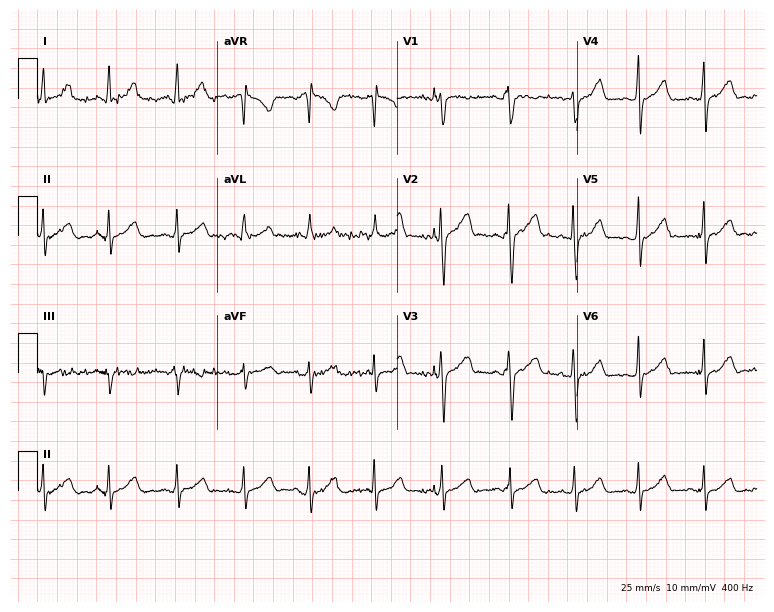
ECG — a female, 33 years old. Labelled as a normal ECG.